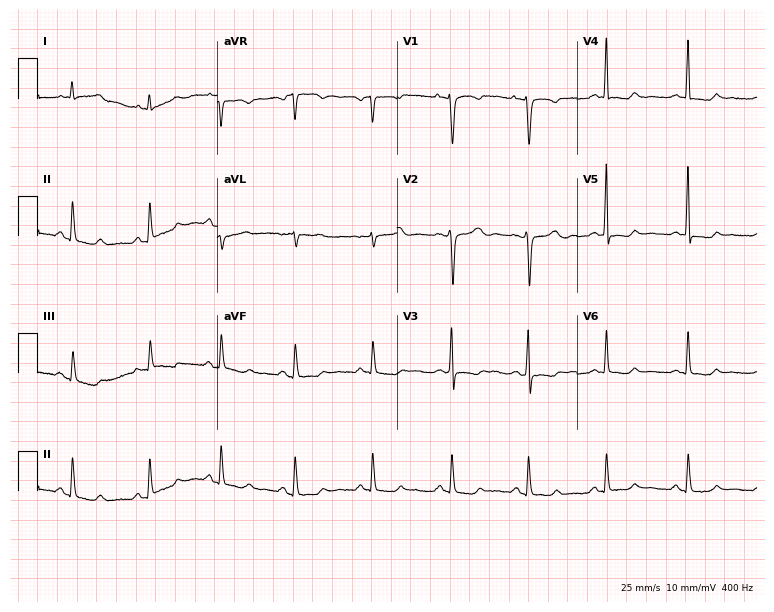
12-lead ECG from a 41-year-old female (7.3-second recording at 400 Hz). No first-degree AV block, right bundle branch block (RBBB), left bundle branch block (LBBB), sinus bradycardia, atrial fibrillation (AF) or sinus tachycardia recorded for this tracing. Findings outside these six are not listed.